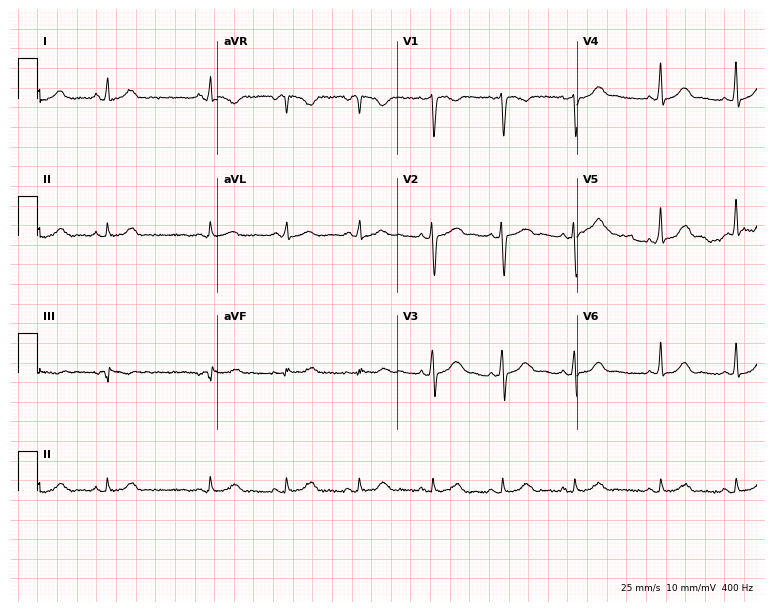
12-lead ECG from a 28-year-old female patient (7.3-second recording at 400 Hz). Recorded interpretation: within normal limits.